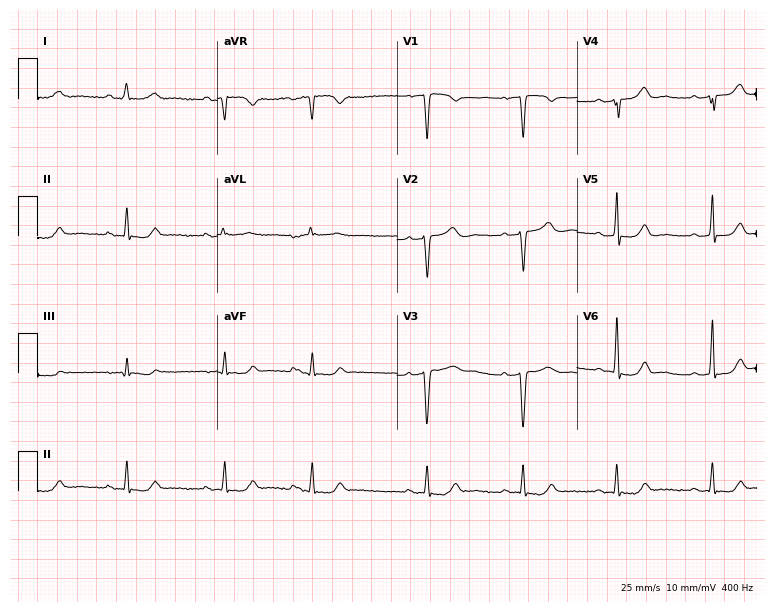
12-lead ECG from a 64-year-old woman. No first-degree AV block, right bundle branch block (RBBB), left bundle branch block (LBBB), sinus bradycardia, atrial fibrillation (AF) or sinus tachycardia recorded for this tracing. Findings outside these six are not listed.